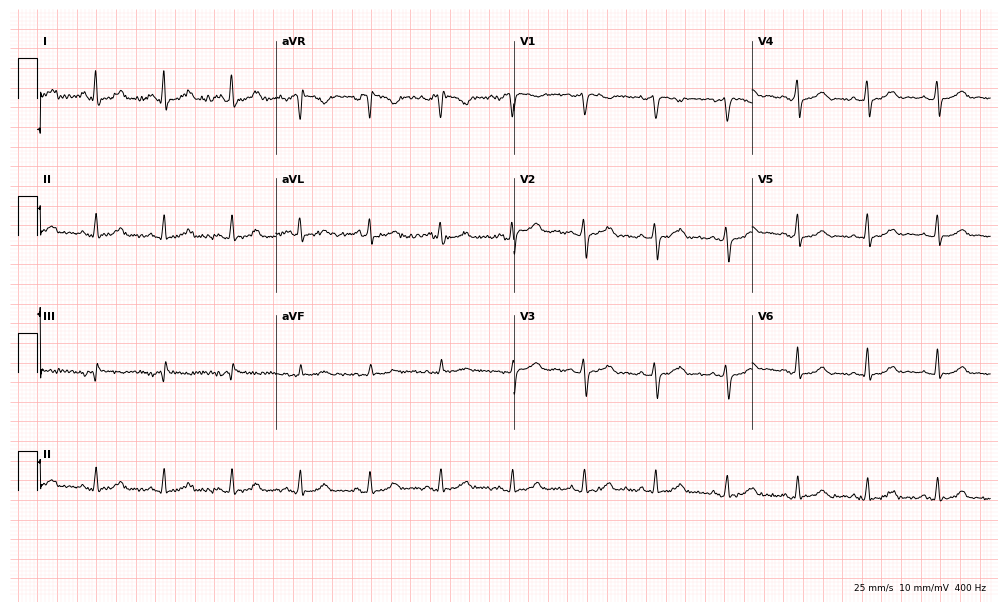
Resting 12-lead electrocardiogram. Patient: a female, 41 years old. None of these six findings is recorded: first-degree AV block, right bundle branch block, left bundle branch block, sinus bradycardia, atrial fibrillation, sinus tachycardia.